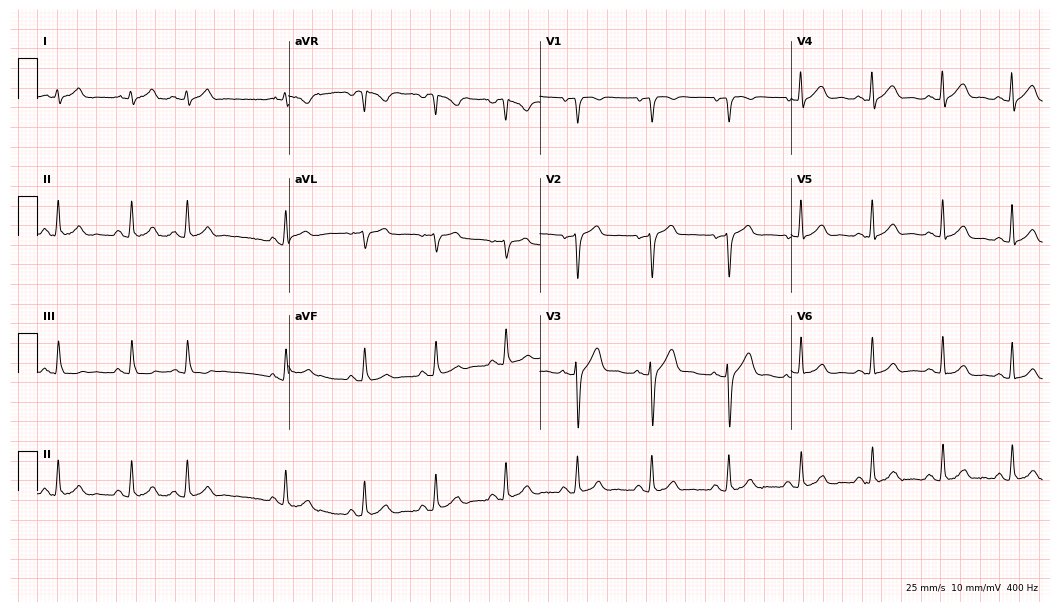
Standard 12-lead ECG recorded from a 29-year-old male (10.2-second recording at 400 Hz). None of these six findings is recorded: first-degree AV block, right bundle branch block, left bundle branch block, sinus bradycardia, atrial fibrillation, sinus tachycardia.